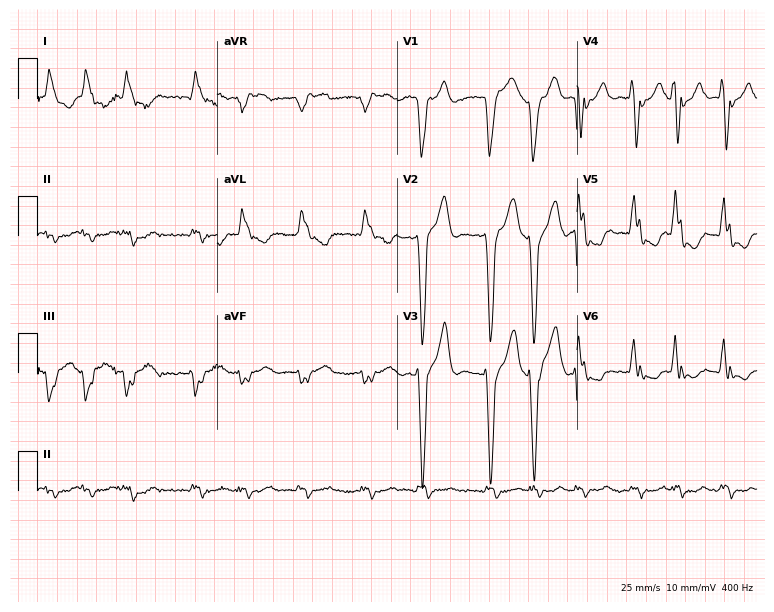
Electrocardiogram, a male patient, 75 years old. Interpretation includes left bundle branch block, atrial fibrillation.